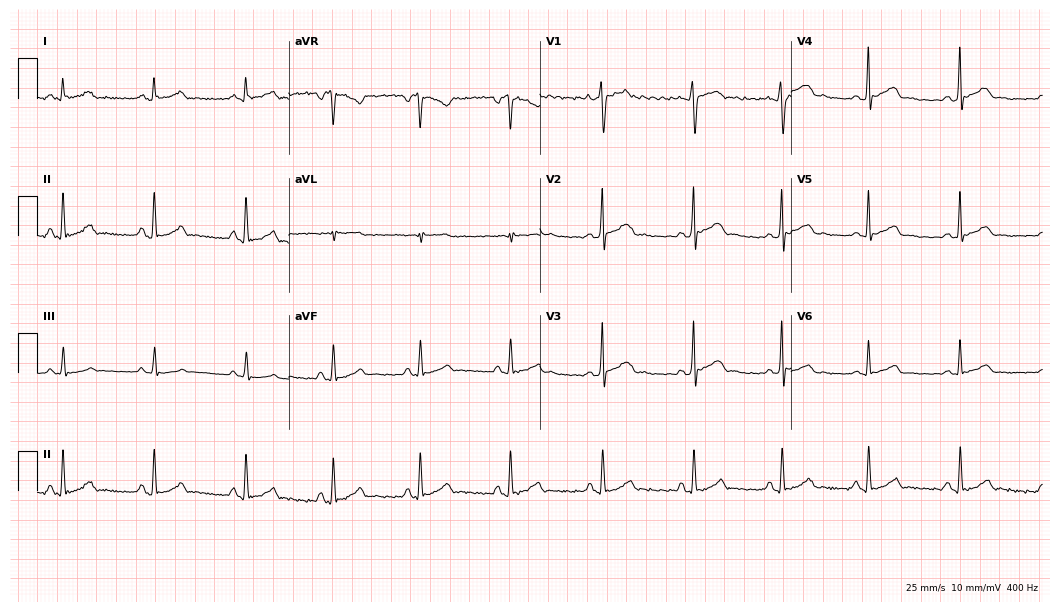
12-lead ECG from a 38-year-old male. Recorded interpretation: within normal limits.